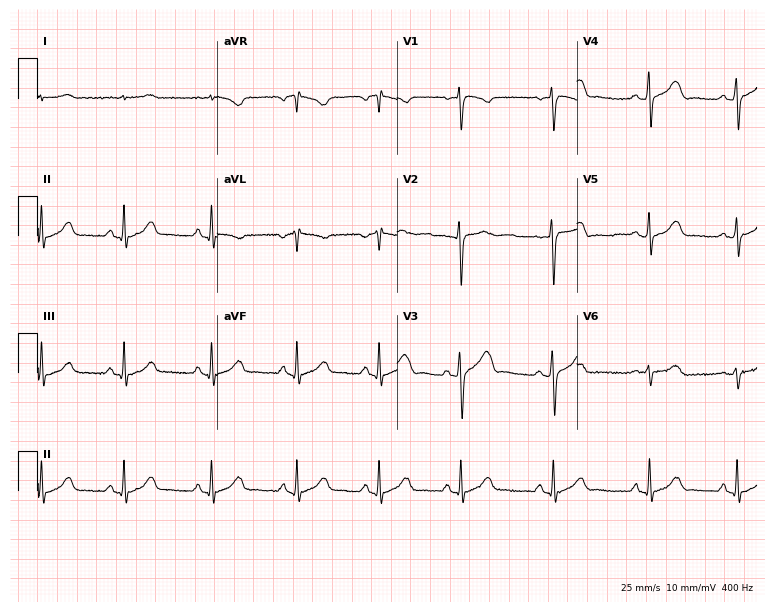
Electrocardiogram (7.3-second recording at 400 Hz), a male patient, 53 years old. Overall reading on record: normal ECG.